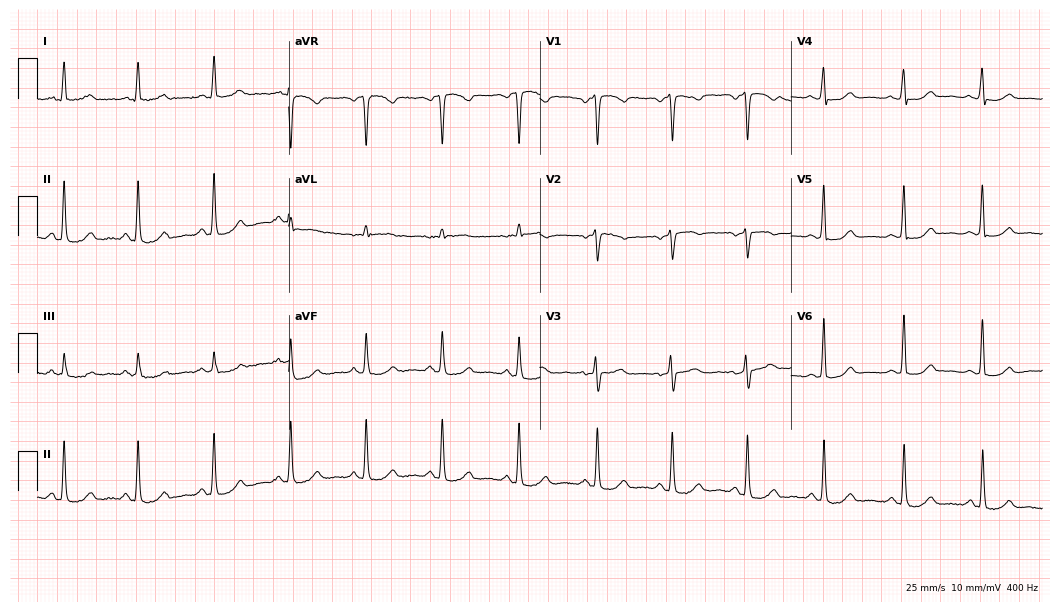
Resting 12-lead electrocardiogram (10.2-second recording at 400 Hz). Patient: a woman, 64 years old. None of these six findings is recorded: first-degree AV block, right bundle branch block, left bundle branch block, sinus bradycardia, atrial fibrillation, sinus tachycardia.